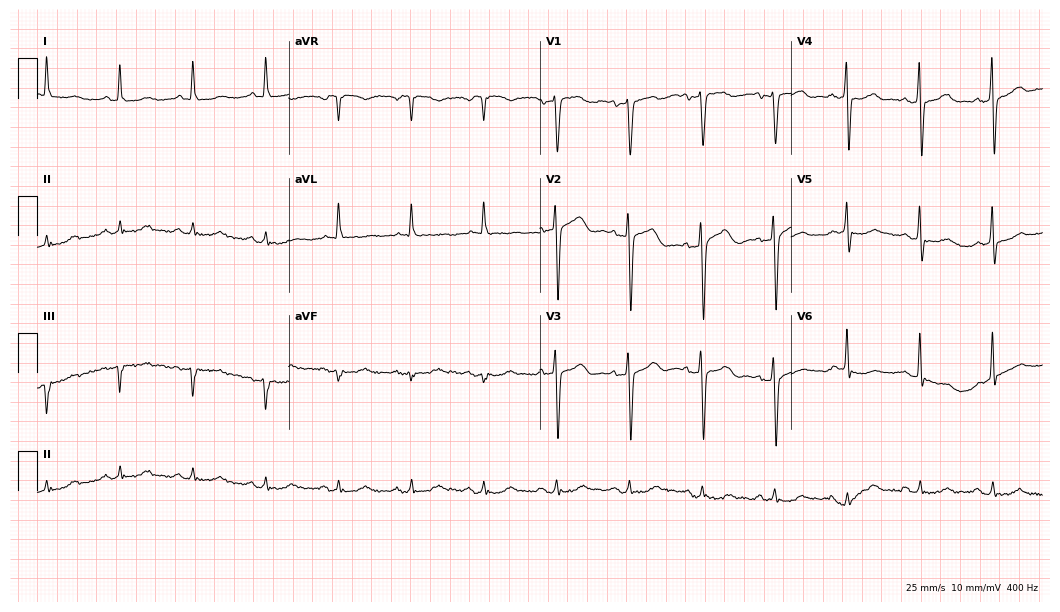
12-lead ECG from a male patient, 78 years old. Recorded interpretation: within normal limits.